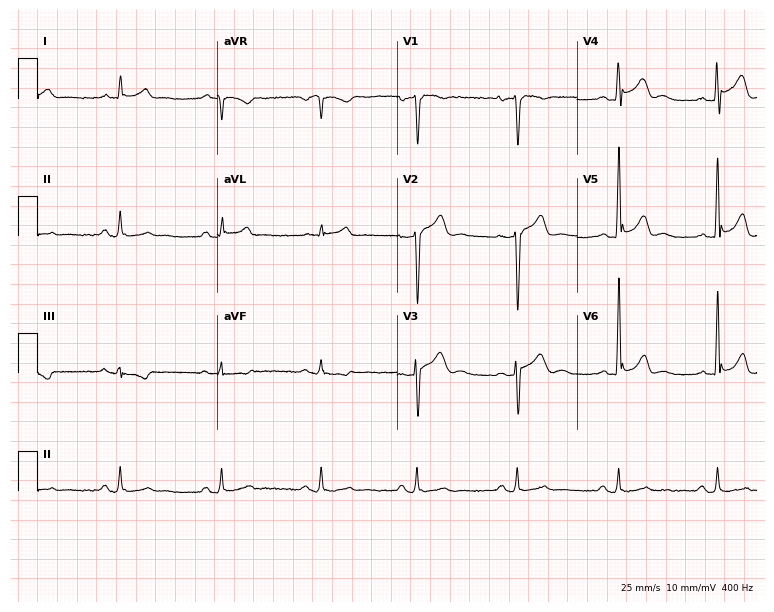
Electrocardiogram (7.3-second recording at 400 Hz), a man, 36 years old. Overall reading on record: normal ECG.